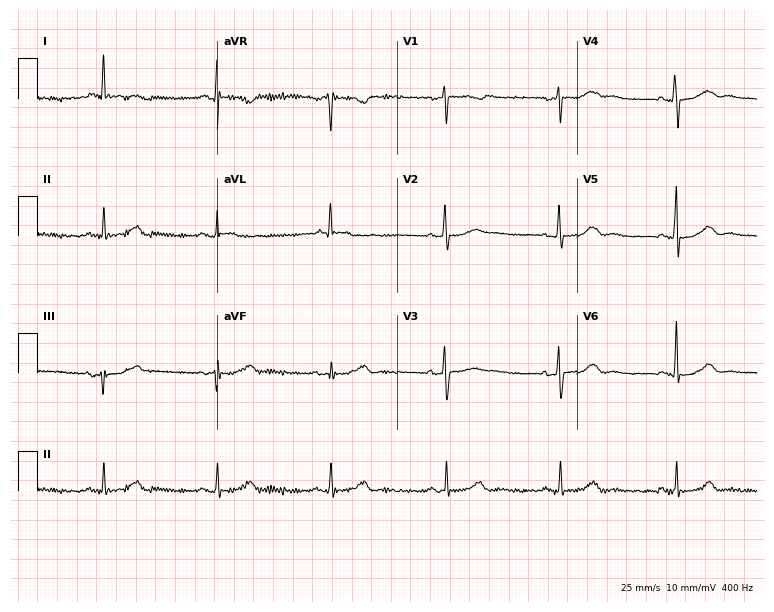
ECG — a woman, 71 years old. Labelled as a normal ECG.